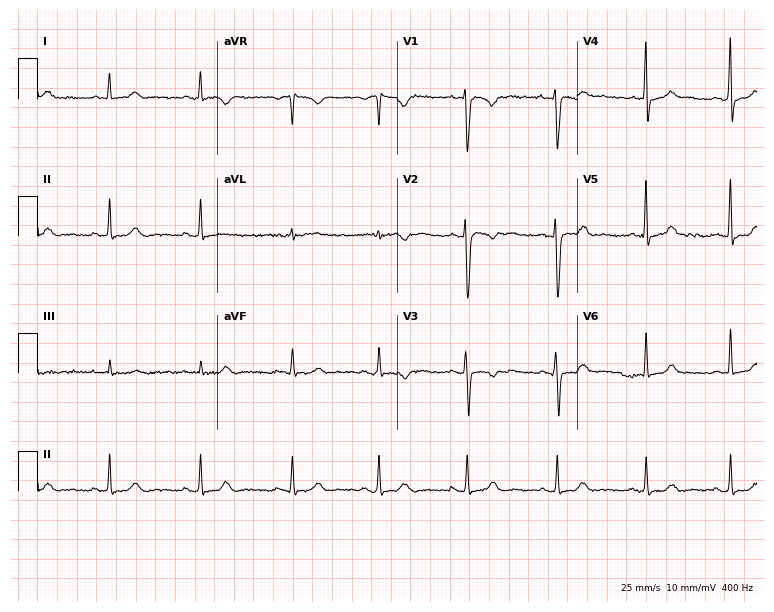
ECG (7.3-second recording at 400 Hz) — a 31-year-old woman. Labelled as a normal ECG.